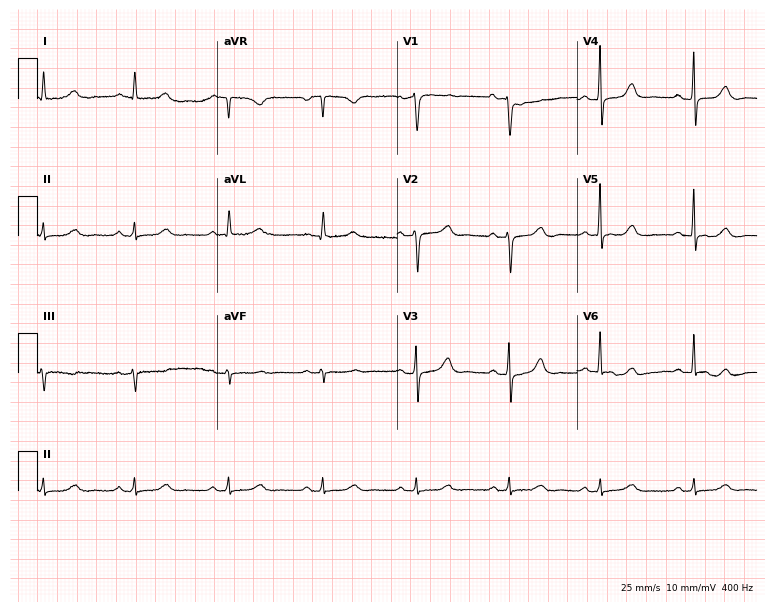
ECG (7.3-second recording at 400 Hz) — a woman, 77 years old. Labelled as a normal ECG.